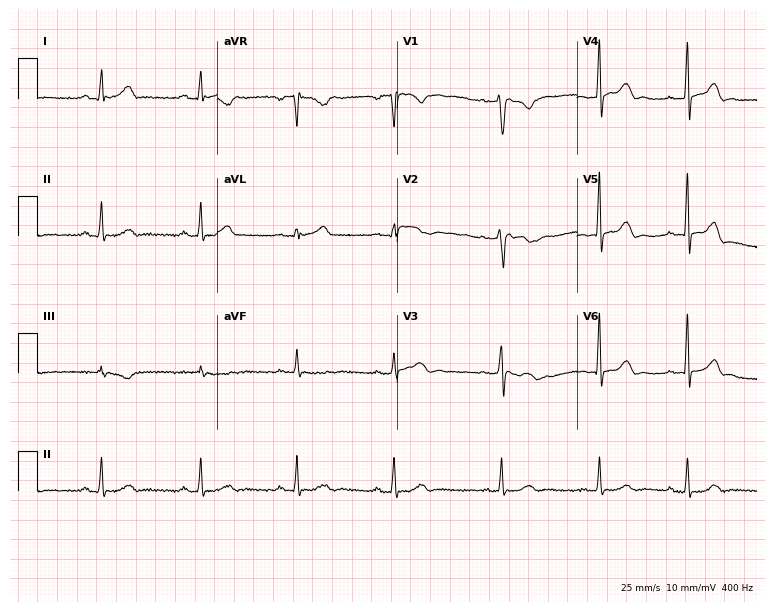
12-lead ECG from a female, 30 years old (7.3-second recording at 400 Hz). Recorded interpretation: within normal limits.